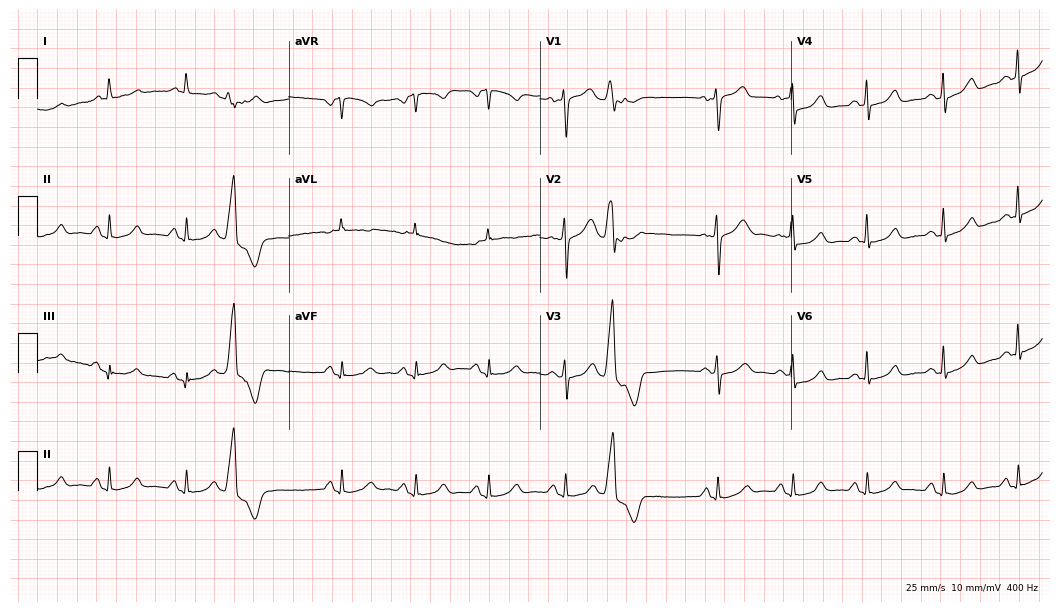
Standard 12-lead ECG recorded from a 47-year-old woman. None of these six findings is recorded: first-degree AV block, right bundle branch block (RBBB), left bundle branch block (LBBB), sinus bradycardia, atrial fibrillation (AF), sinus tachycardia. Findings outside these six are not listed.